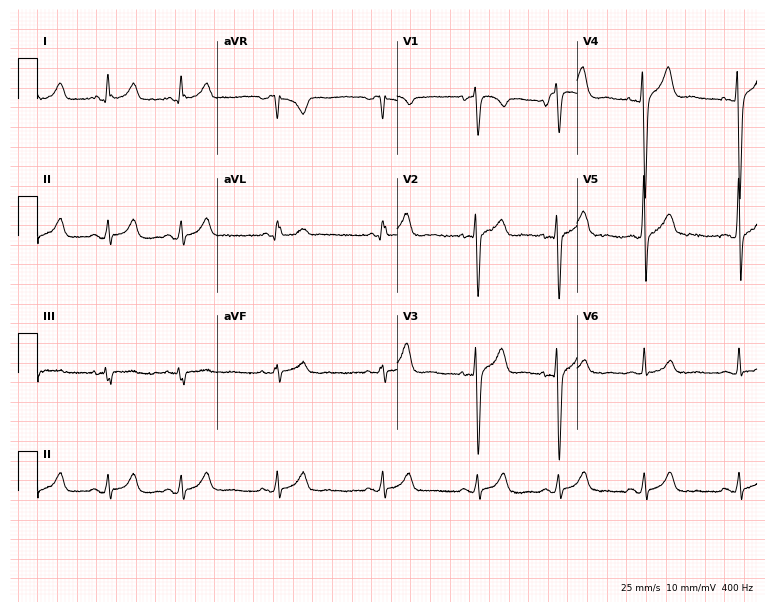
Electrocardiogram, an 18-year-old man. Overall reading on record: normal ECG.